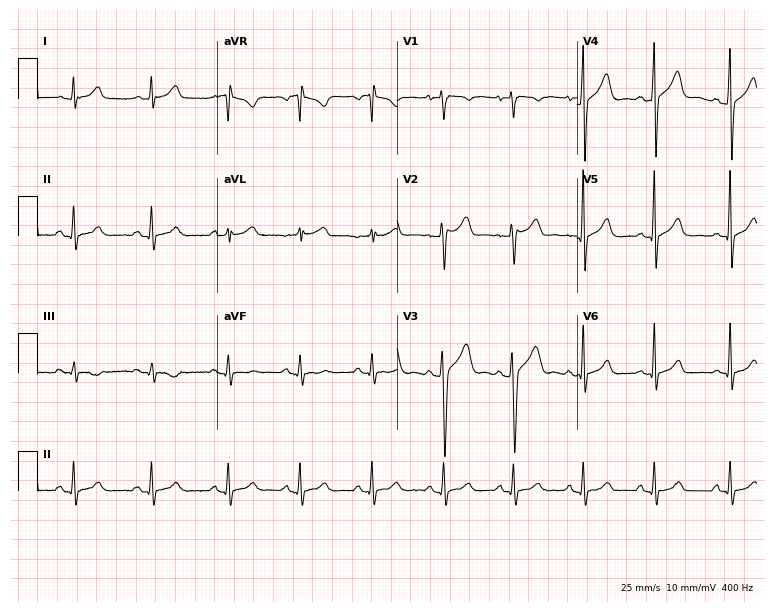
Standard 12-lead ECG recorded from a man, 20 years old (7.3-second recording at 400 Hz). Read as a normal ECG.